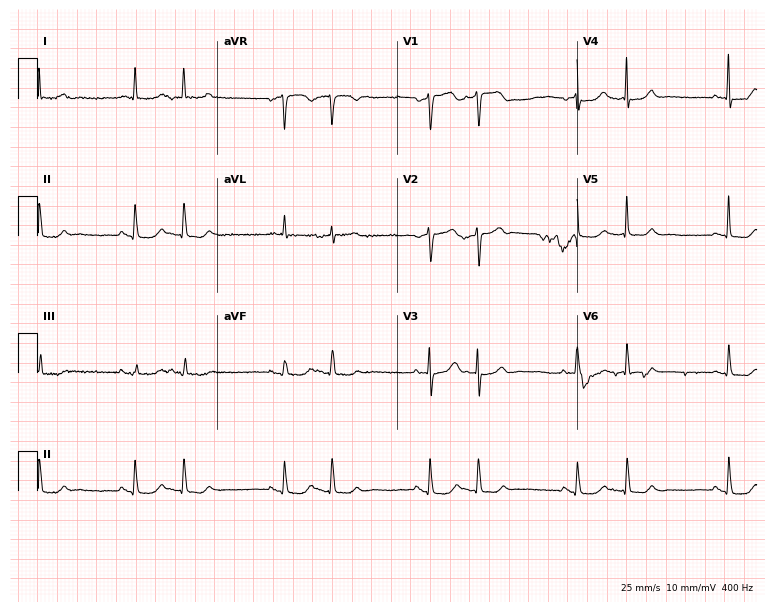
ECG (7.3-second recording at 400 Hz) — a female patient, 85 years old. Screened for six findings — first-degree AV block, right bundle branch block, left bundle branch block, sinus bradycardia, atrial fibrillation, sinus tachycardia — none is recorded.